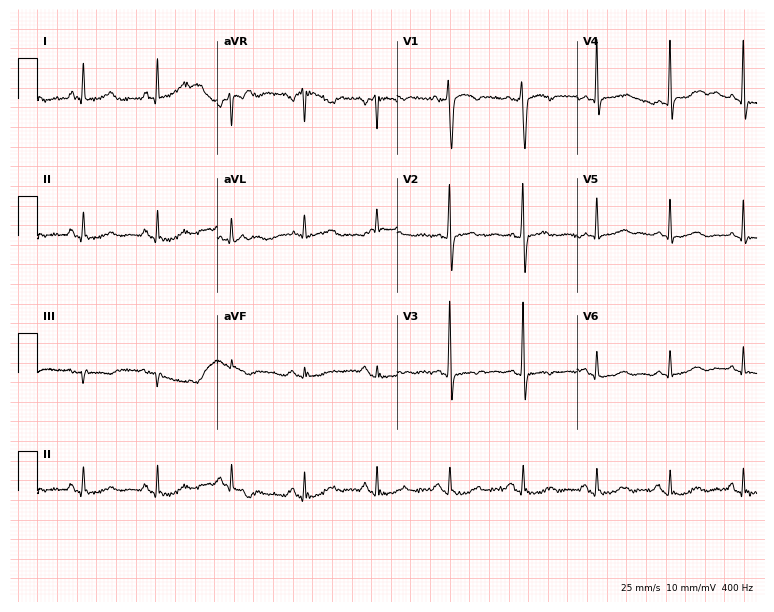
ECG — a 75-year-old man. Screened for six findings — first-degree AV block, right bundle branch block, left bundle branch block, sinus bradycardia, atrial fibrillation, sinus tachycardia — none is recorded.